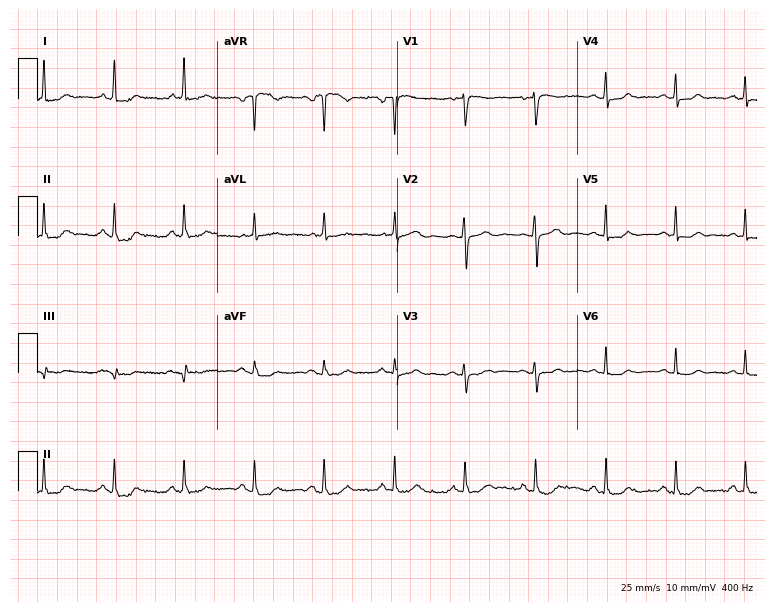
ECG — a woman, 77 years old. Labelled as a normal ECG.